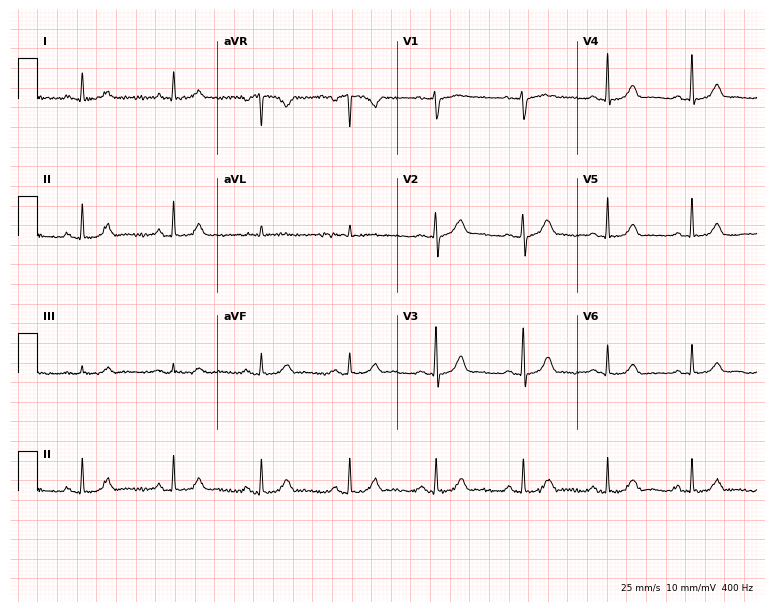
Standard 12-lead ECG recorded from a female, 60 years old. Read as a normal ECG.